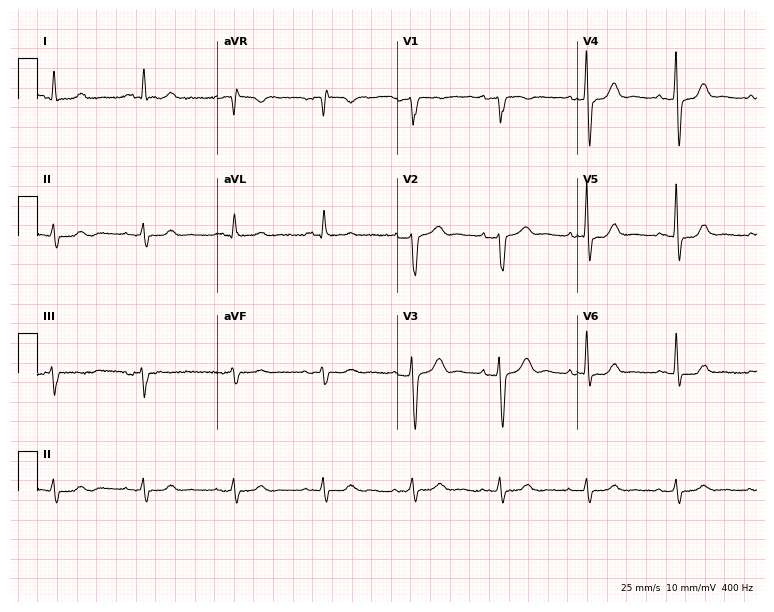
12-lead ECG from a 78-year-old male patient. Recorded interpretation: within normal limits.